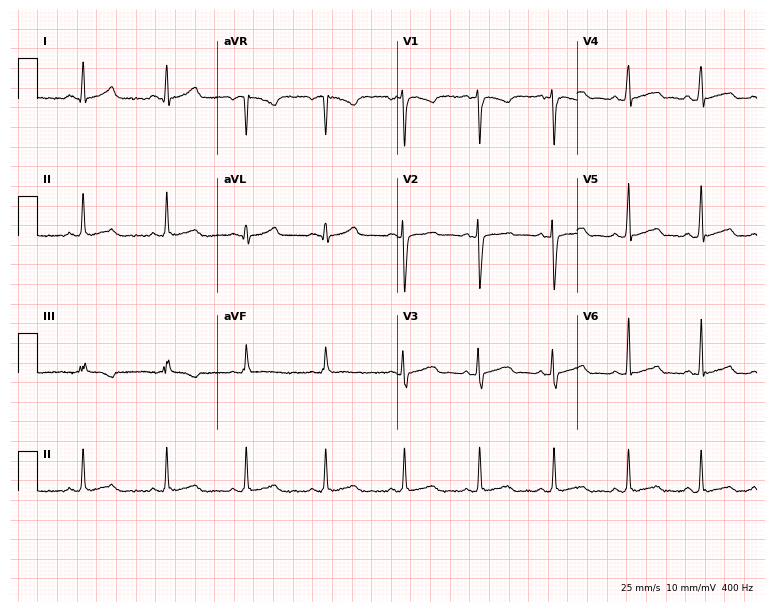
Resting 12-lead electrocardiogram. Patient: a 28-year-old male. Read as a normal ECG.